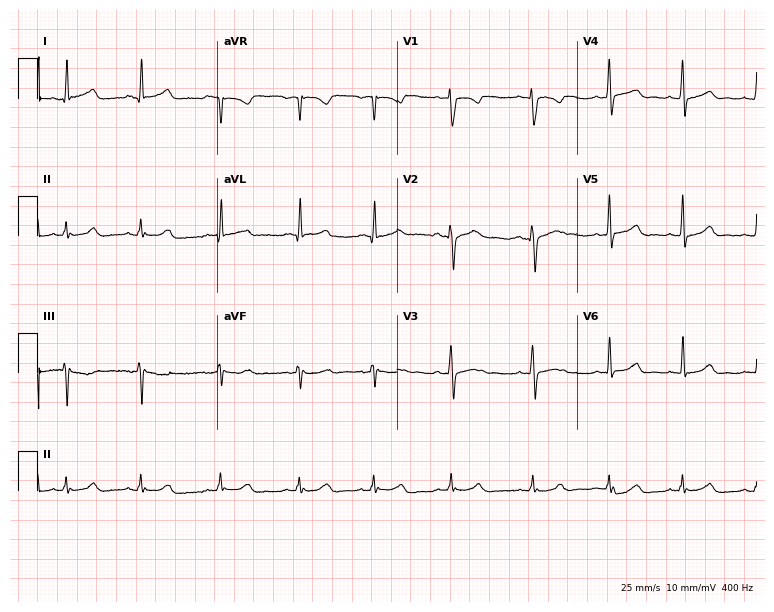
ECG — a 29-year-old female patient. Labelled as a normal ECG.